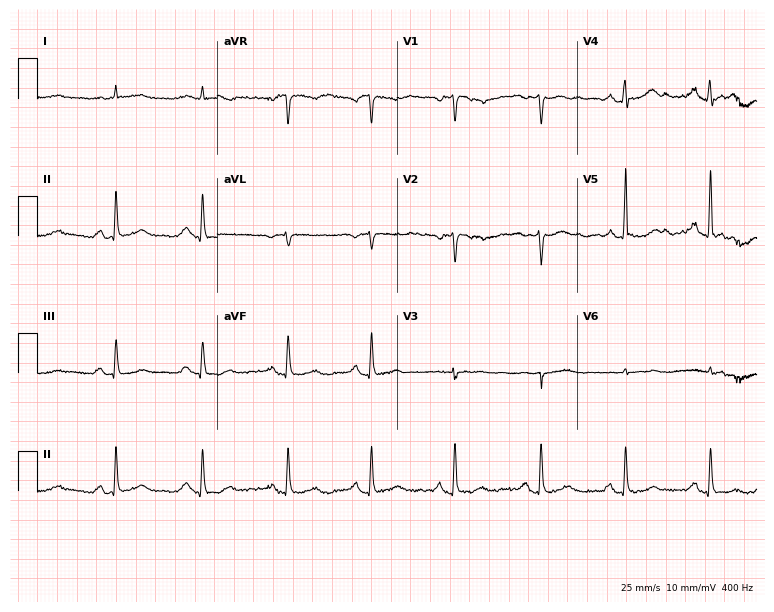
12-lead ECG from a female, 80 years old (7.3-second recording at 400 Hz). Recorded interpretation: within normal limits.